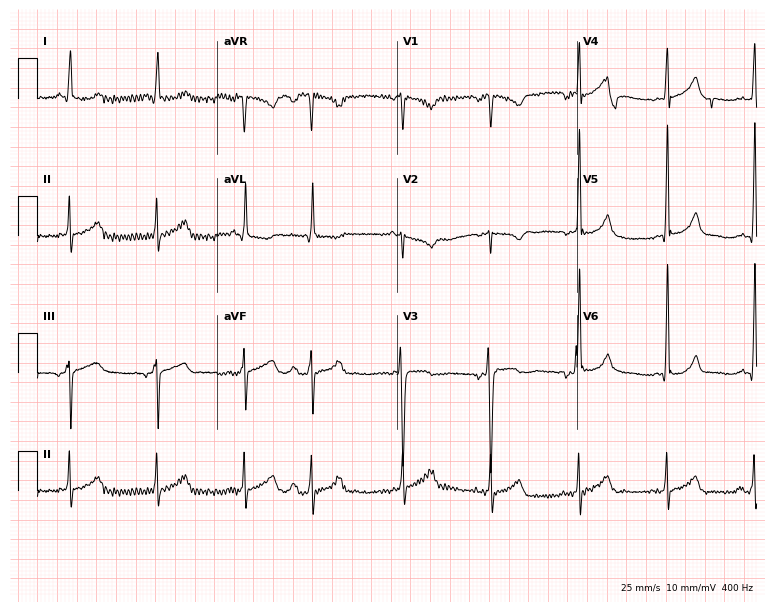
12-lead ECG (7.3-second recording at 400 Hz) from a female, 35 years old. Screened for six findings — first-degree AV block, right bundle branch block, left bundle branch block, sinus bradycardia, atrial fibrillation, sinus tachycardia — none is recorded.